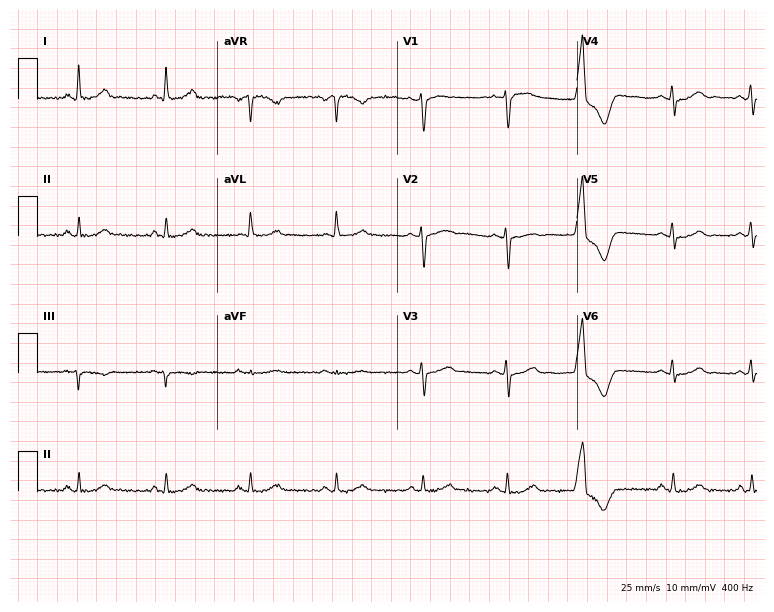
Standard 12-lead ECG recorded from a 46-year-old female. Read as a normal ECG.